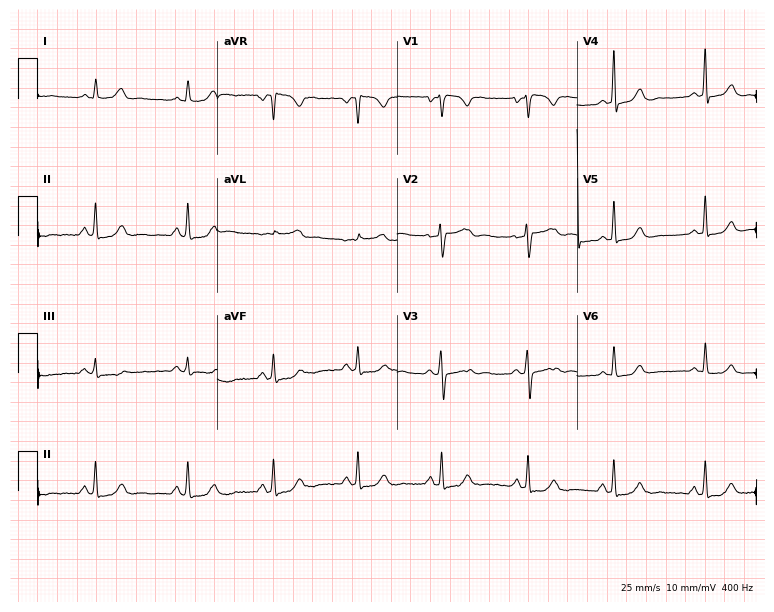
Resting 12-lead electrocardiogram. Patient: a 39-year-old woman. None of these six findings is recorded: first-degree AV block, right bundle branch block, left bundle branch block, sinus bradycardia, atrial fibrillation, sinus tachycardia. Only these six findings were labelled.